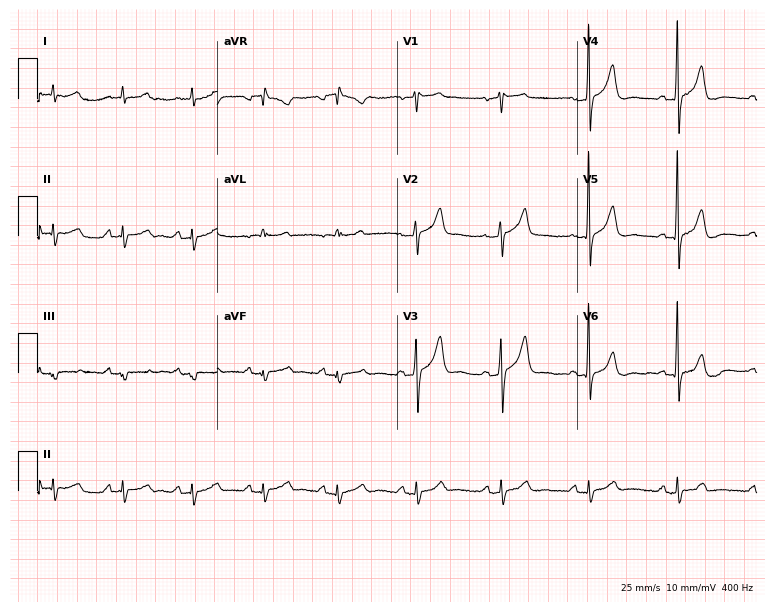
Standard 12-lead ECG recorded from a 69-year-old man (7.3-second recording at 400 Hz). Read as a normal ECG.